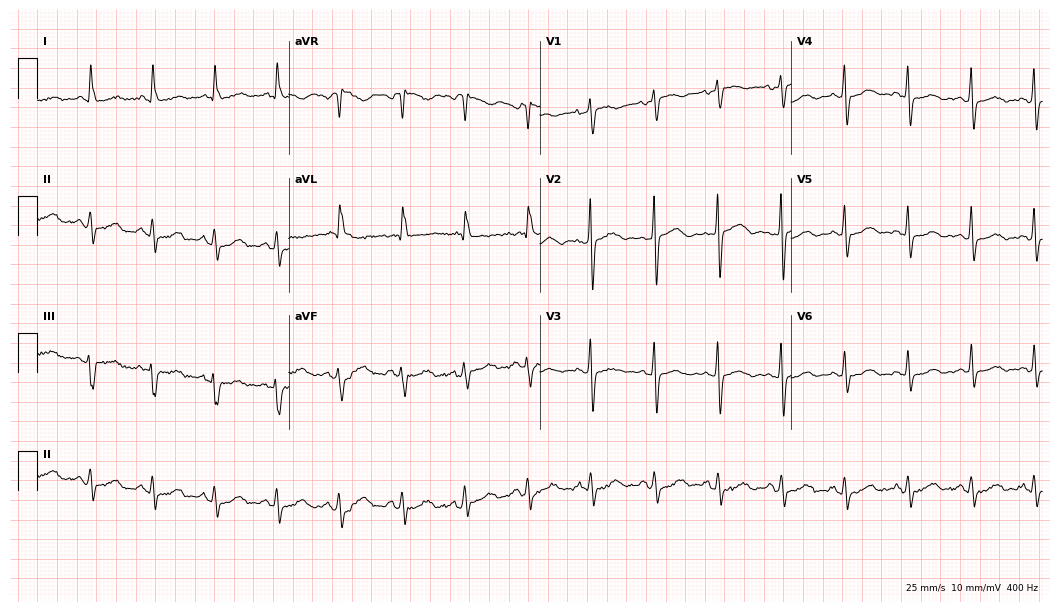
ECG (10.2-second recording at 400 Hz) — a female patient, 72 years old. Screened for six findings — first-degree AV block, right bundle branch block, left bundle branch block, sinus bradycardia, atrial fibrillation, sinus tachycardia — none is recorded.